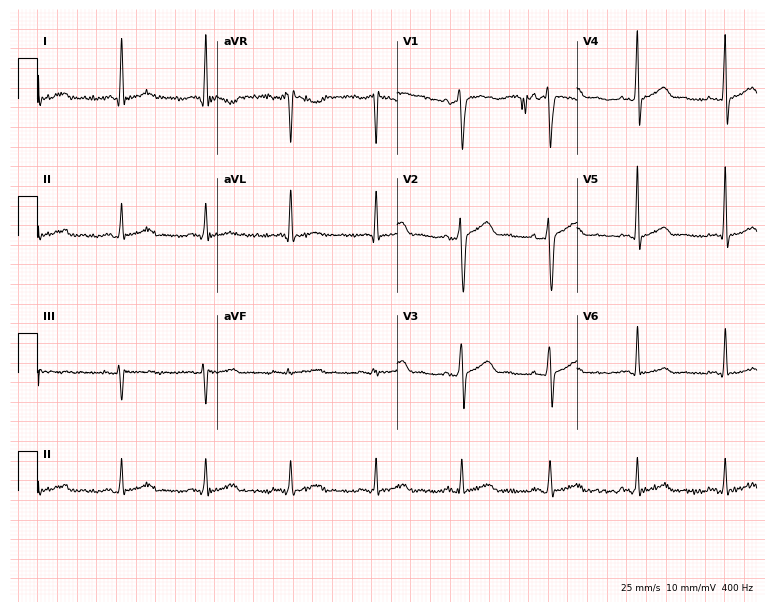
Electrocardiogram (7.3-second recording at 400 Hz), a man, 39 years old. Of the six screened findings (first-degree AV block, right bundle branch block, left bundle branch block, sinus bradycardia, atrial fibrillation, sinus tachycardia), none is recorded.